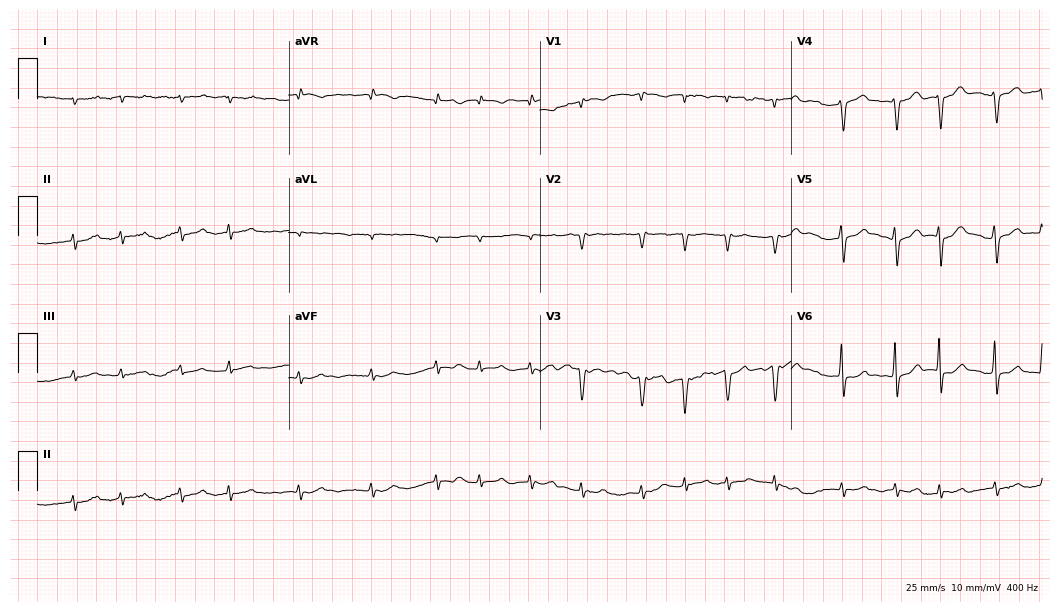
ECG (10.2-second recording at 400 Hz) — an 80-year-old woman. Findings include atrial fibrillation.